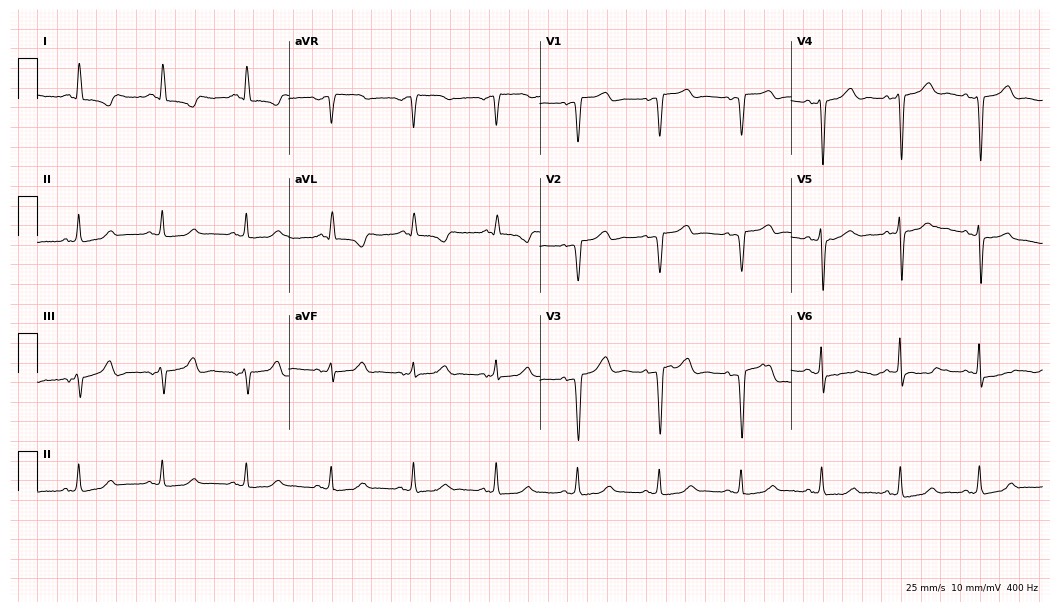
12-lead ECG from a 50-year-old female patient. Screened for six findings — first-degree AV block, right bundle branch block, left bundle branch block, sinus bradycardia, atrial fibrillation, sinus tachycardia — none is recorded. Other findings, if any, are not listed.